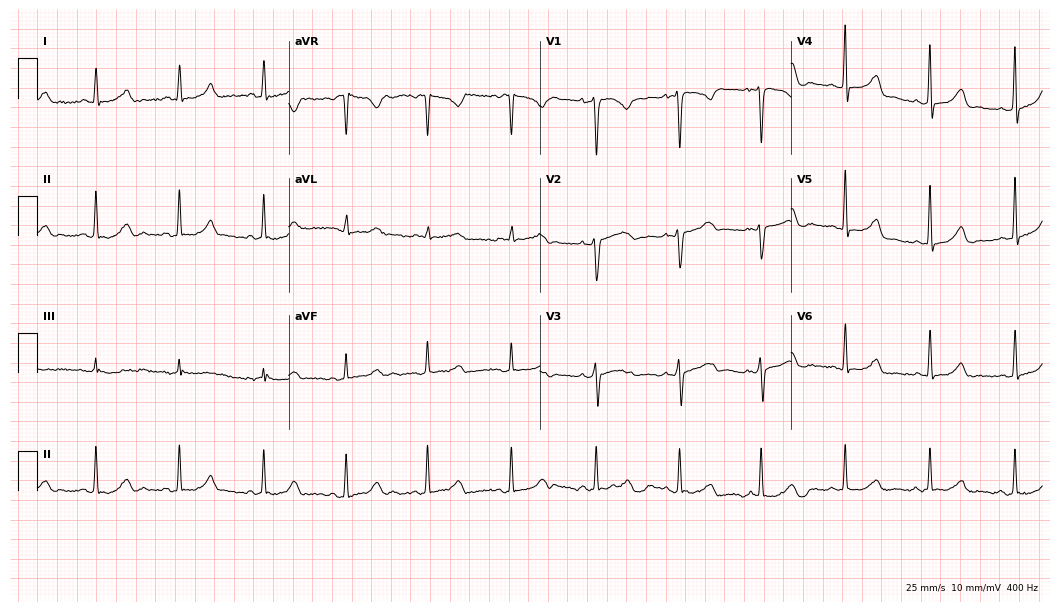
Standard 12-lead ECG recorded from a 39-year-old female. Read as a normal ECG.